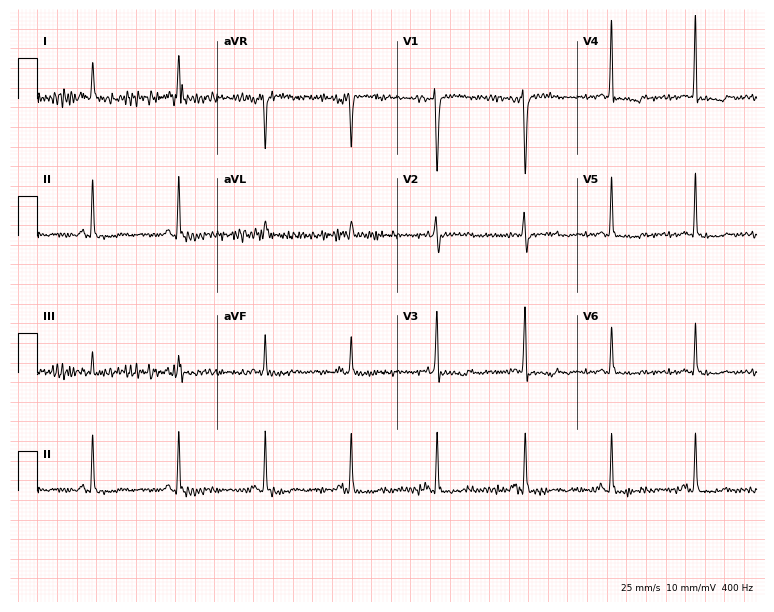
12-lead ECG from a 56-year-old female patient (7.3-second recording at 400 Hz). No first-degree AV block, right bundle branch block (RBBB), left bundle branch block (LBBB), sinus bradycardia, atrial fibrillation (AF) or sinus tachycardia recorded for this tracing. Only these six findings were labelled.